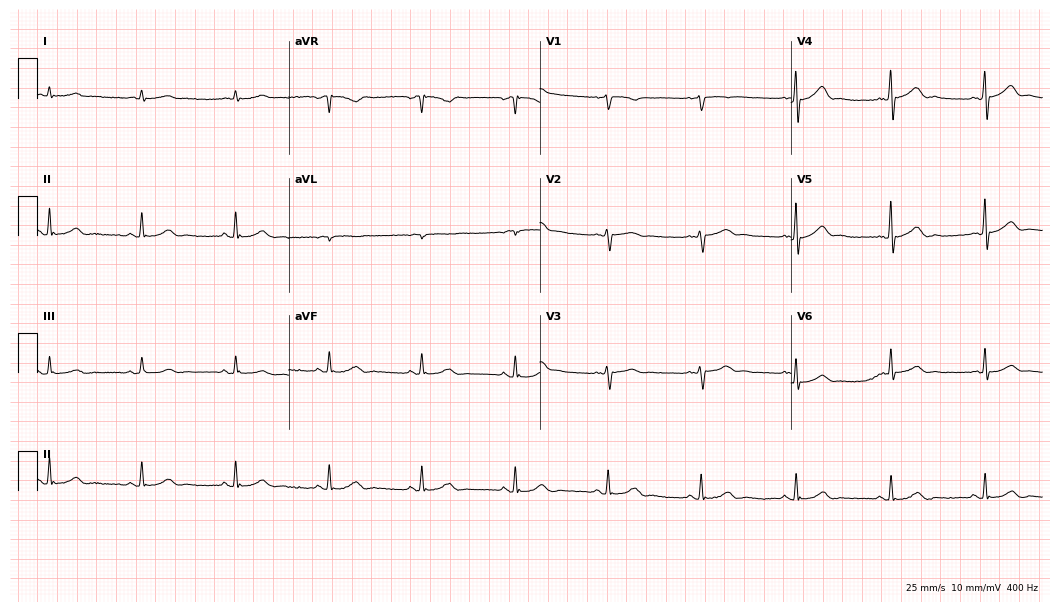
12-lead ECG from a male, 66 years old. No first-degree AV block, right bundle branch block, left bundle branch block, sinus bradycardia, atrial fibrillation or sinus tachycardia recorded for this tracing.